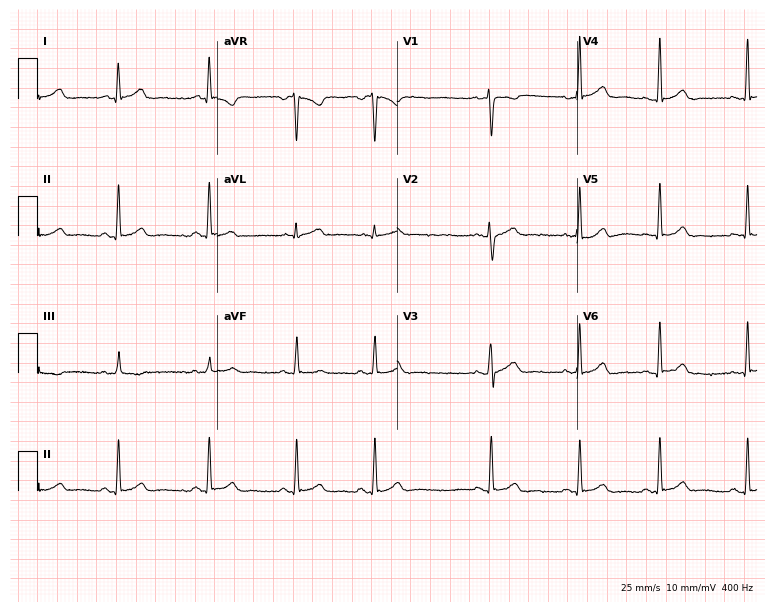
Electrocardiogram (7.3-second recording at 400 Hz), a 27-year-old woman. Overall reading on record: normal ECG.